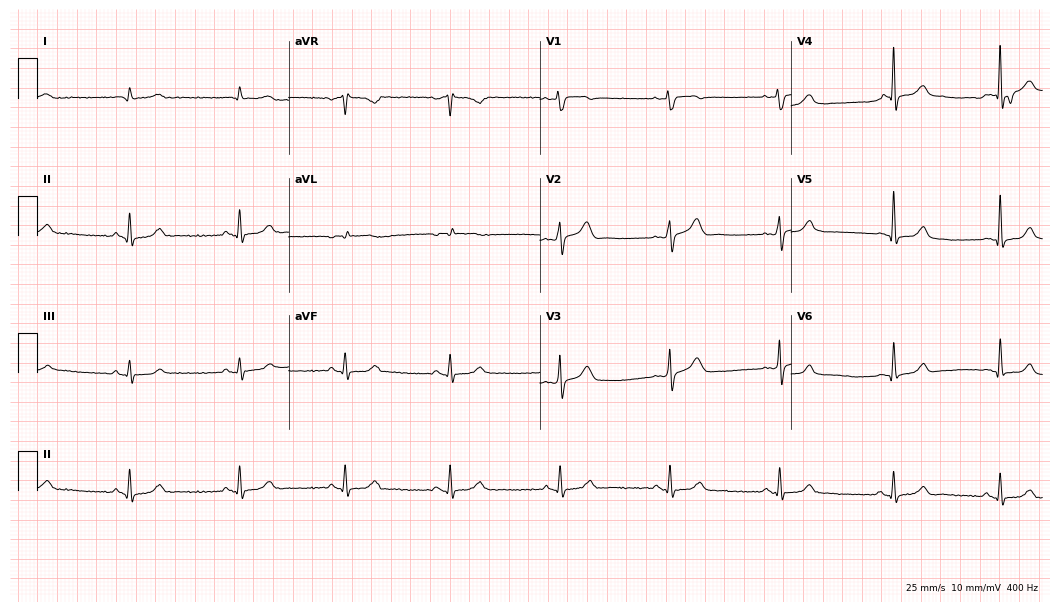
ECG — a 63-year-old male. Labelled as a normal ECG.